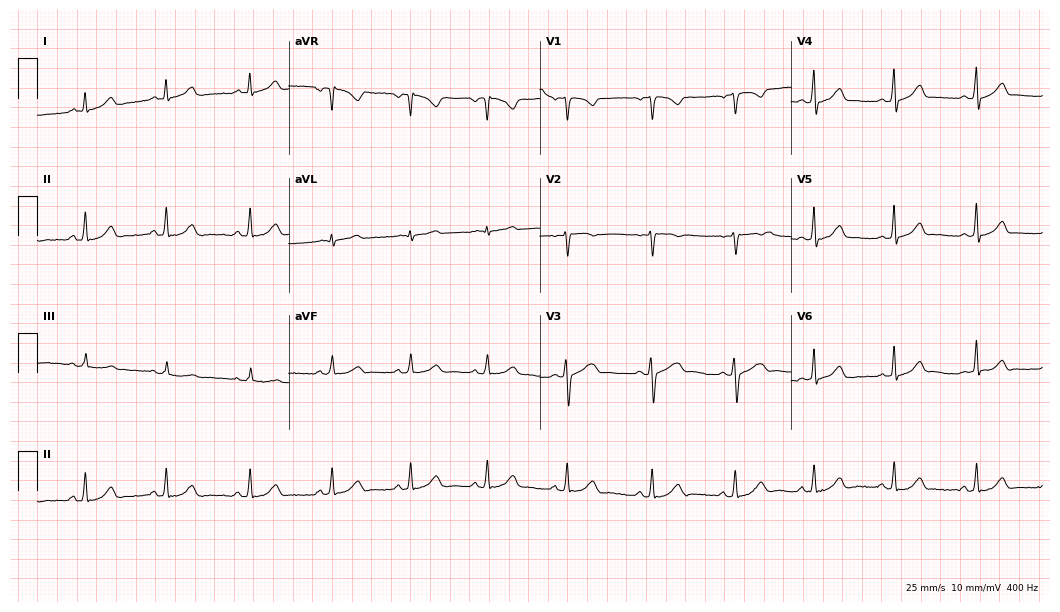
12-lead ECG (10.2-second recording at 400 Hz) from a female patient, 29 years old. Labelled as a normal ECG.